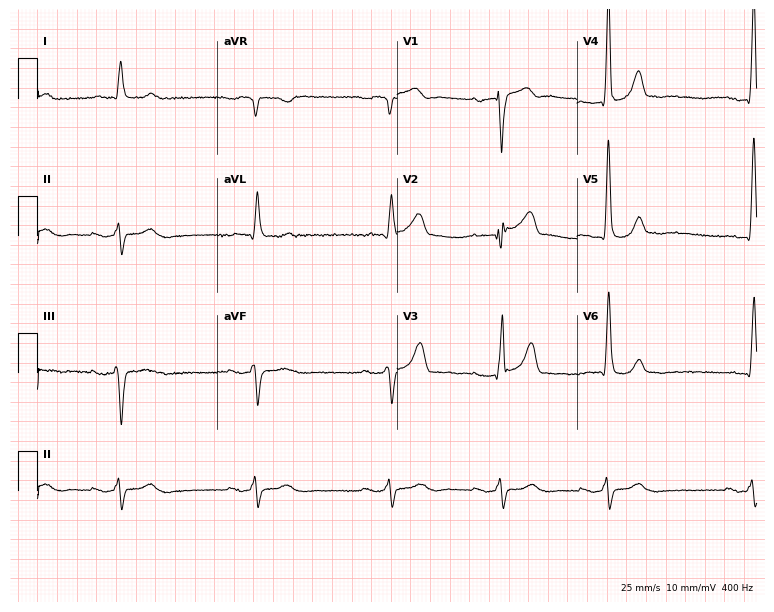
Resting 12-lead electrocardiogram (7.3-second recording at 400 Hz). Patient: a male, 84 years old. The tracing shows sinus bradycardia (a sinus rate of 50 beats per minute or less).